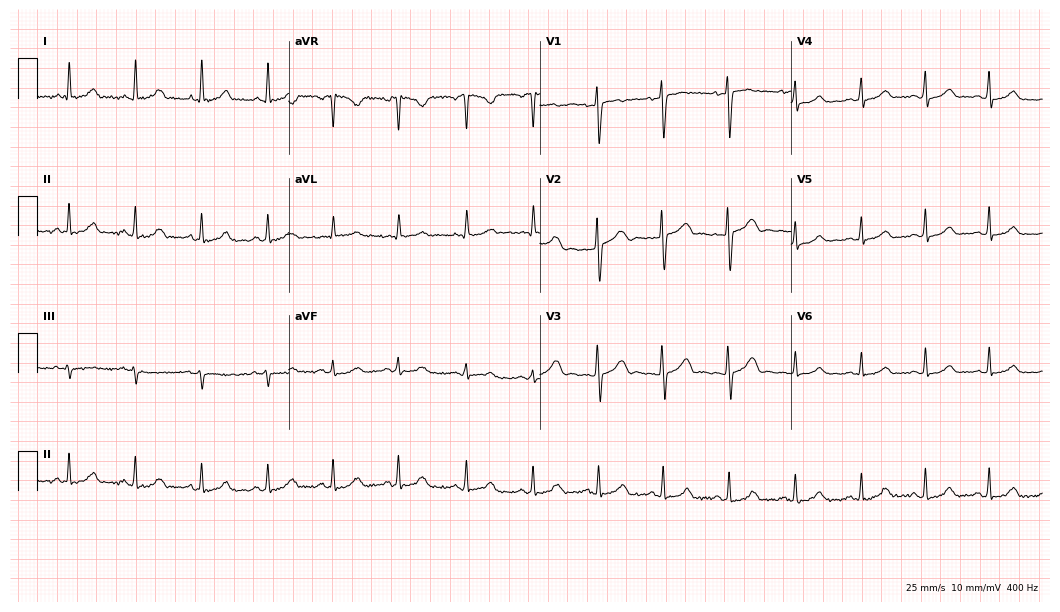
Resting 12-lead electrocardiogram (10.2-second recording at 400 Hz). Patient: a woman, 33 years old. Read as a normal ECG.